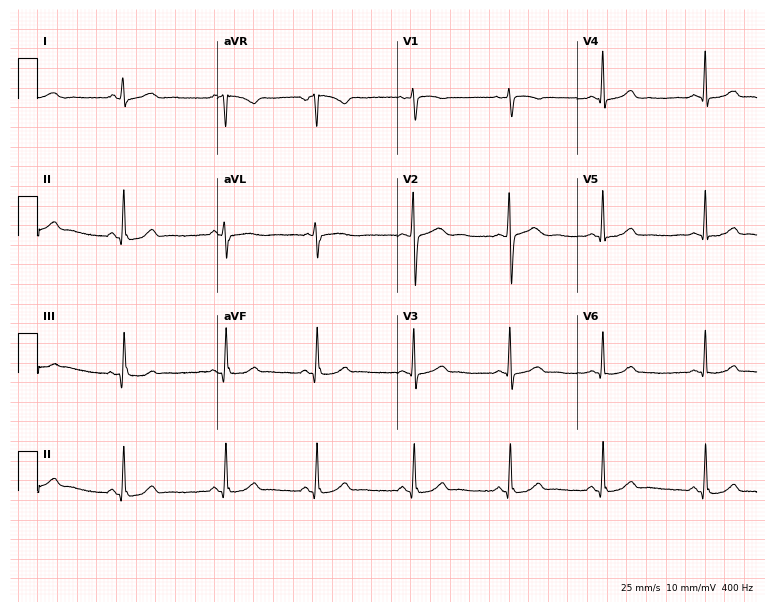
ECG (7.3-second recording at 400 Hz) — a 42-year-old woman. Labelled as a normal ECG.